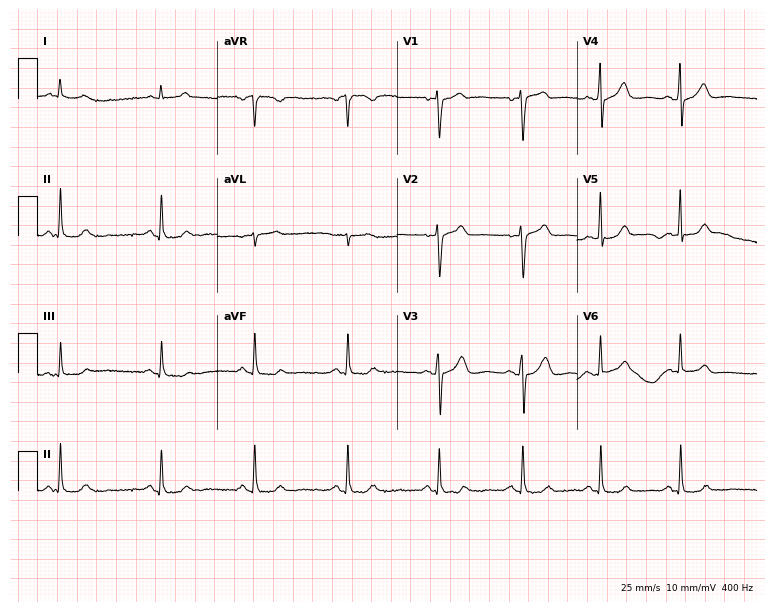
Standard 12-lead ECG recorded from a male patient, 55 years old (7.3-second recording at 400 Hz). None of these six findings is recorded: first-degree AV block, right bundle branch block, left bundle branch block, sinus bradycardia, atrial fibrillation, sinus tachycardia.